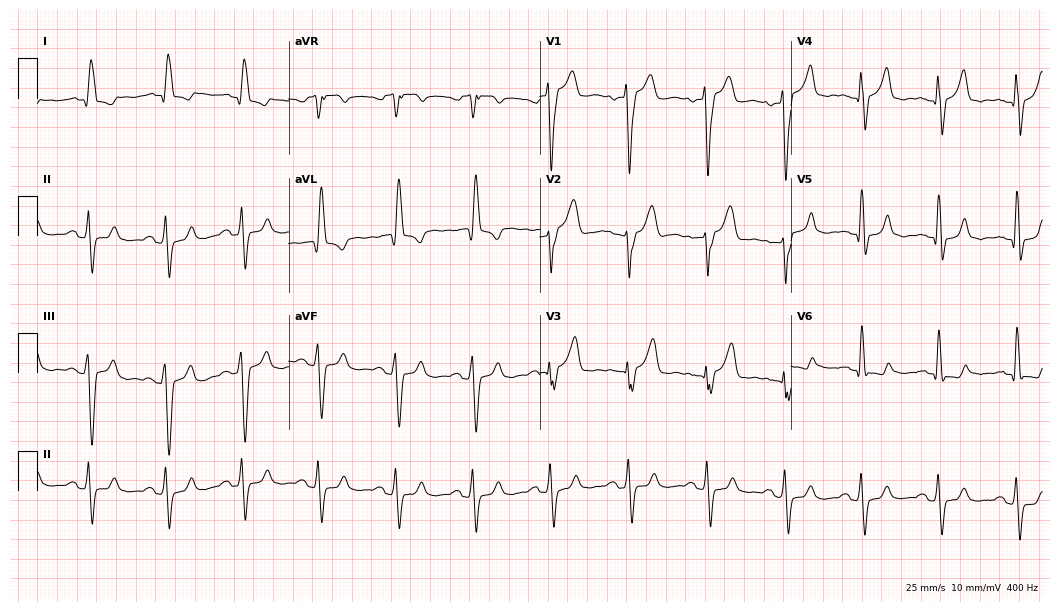
12-lead ECG (10.2-second recording at 400 Hz) from a 54-year-old male patient. Screened for six findings — first-degree AV block, right bundle branch block (RBBB), left bundle branch block (LBBB), sinus bradycardia, atrial fibrillation (AF), sinus tachycardia — none is recorded. Findings outside these six are not listed.